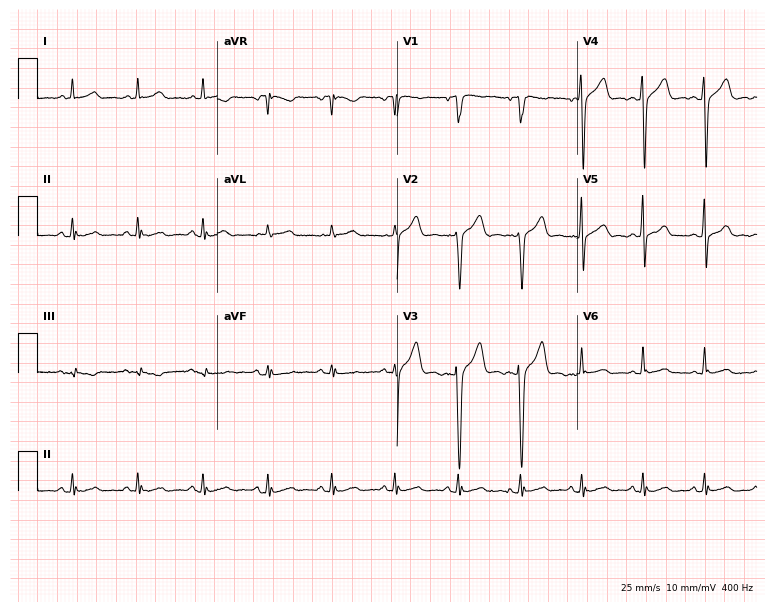
Electrocardiogram (7.3-second recording at 400 Hz), a male, 41 years old. Overall reading on record: normal ECG.